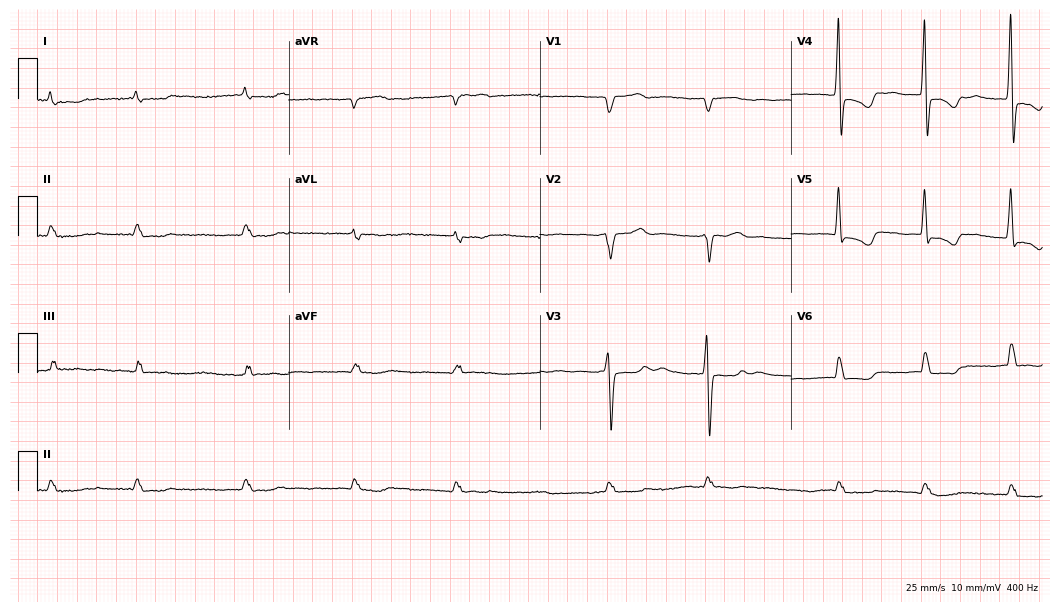
12-lead ECG from a 76-year-old male (10.2-second recording at 400 Hz). Shows atrial fibrillation (AF).